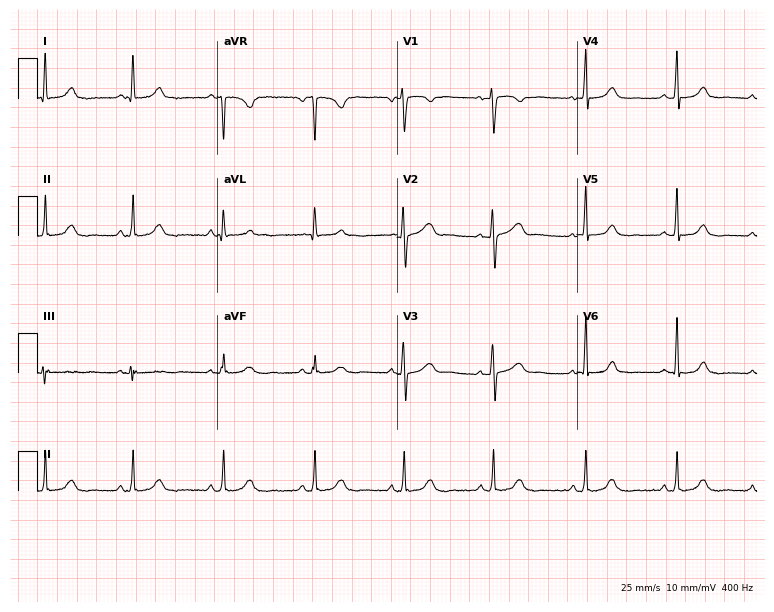
Standard 12-lead ECG recorded from a 57-year-old female patient (7.3-second recording at 400 Hz). Read as a normal ECG.